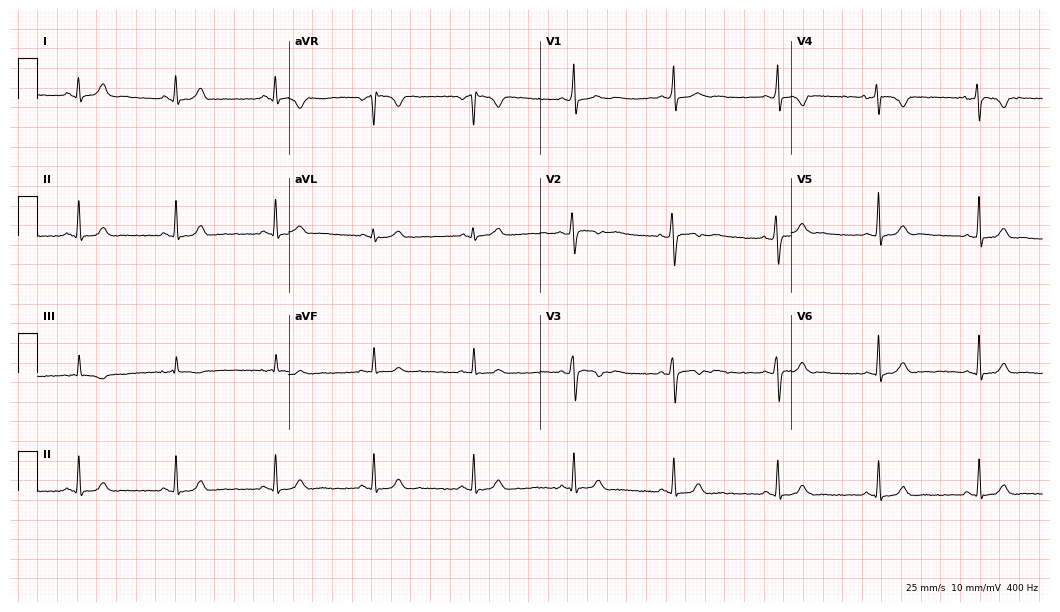
Electrocardiogram, a female patient, 36 years old. Of the six screened findings (first-degree AV block, right bundle branch block (RBBB), left bundle branch block (LBBB), sinus bradycardia, atrial fibrillation (AF), sinus tachycardia), none is recorded. Only these six findings were labelled.